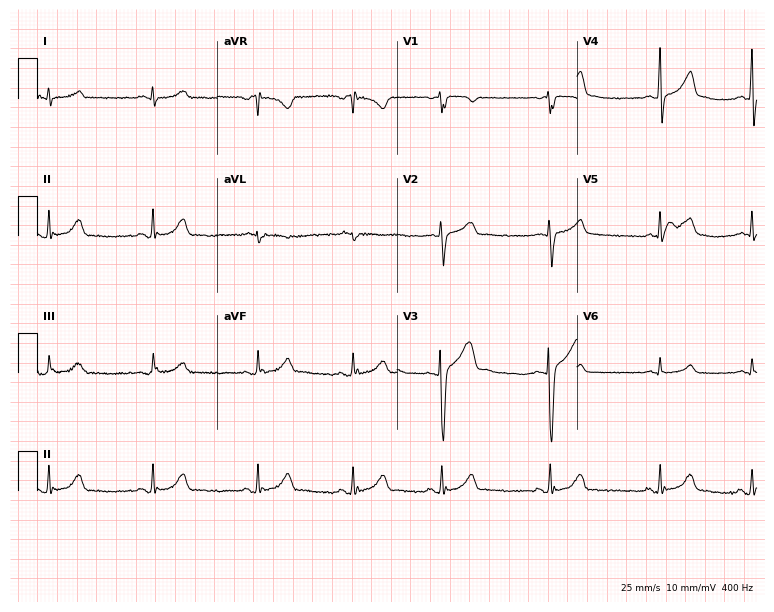
Resting 12-lead electrocardiogram. Patient: an 18-year-old female. None of these six findings is recorded: first-degree AV block, right bundle branch block, left bundle branch block, sinus bradycardia, atrial fibrillation, sinus tachycardia. Only these six findings were labelled.